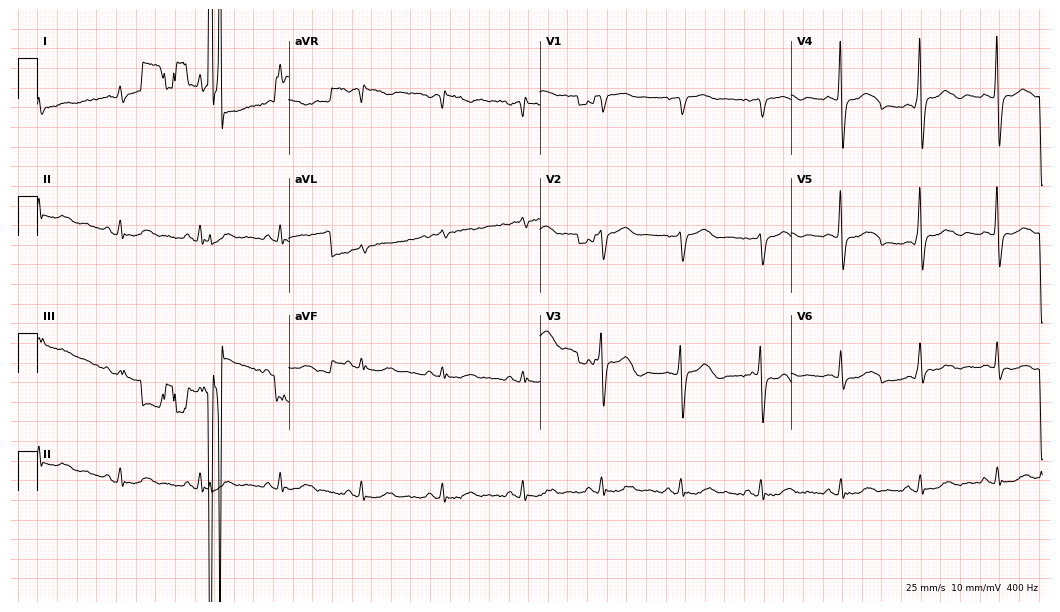
12-lead ECG from an 86-year-old female. Screened for six findings — first-degree AV block, right bundle branch block, left bundle branch block, sinus bradycardia, atrial fibrillation, sinus tachycardia — none is recorded.